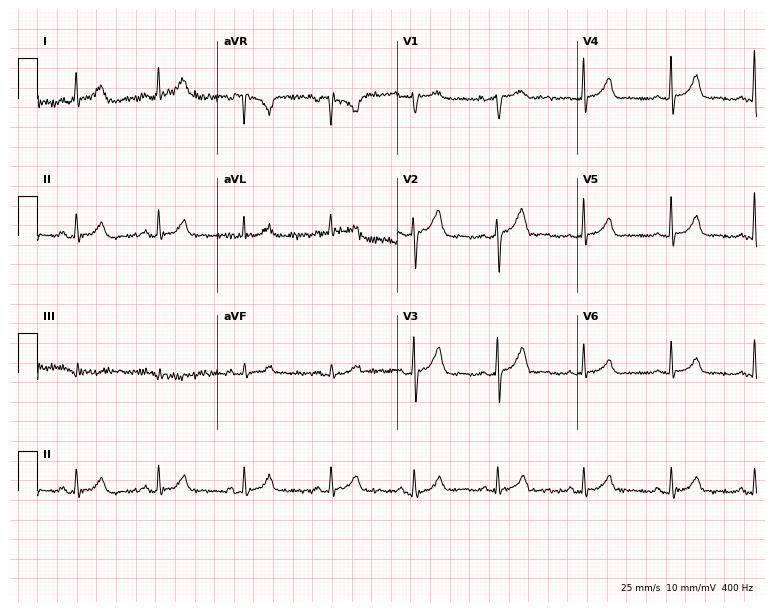
ECG (7.3-second recording at 400 Hz) — a woman, 63 years old. Labelled as a normal ECG.